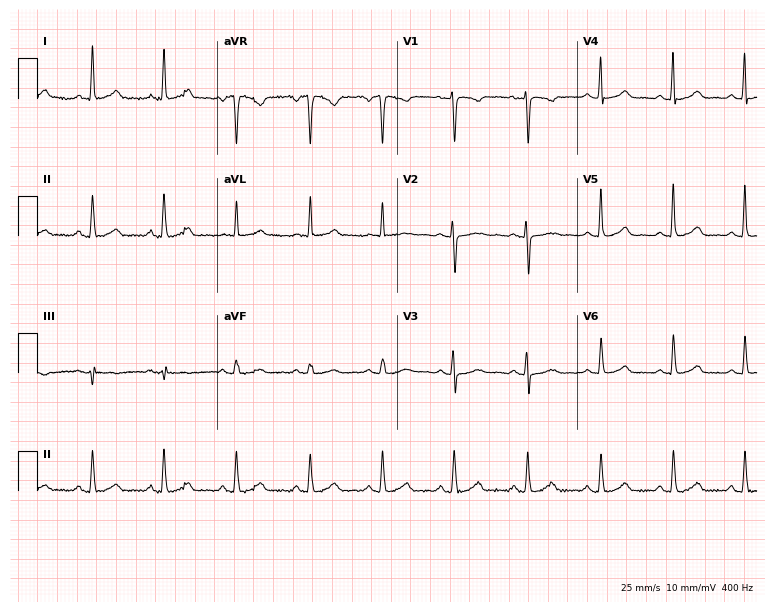
Standard 12-lead ECG recorded from a female, 56 years old (7.3-second recording at 400 Hz). Read as a normal ECG.